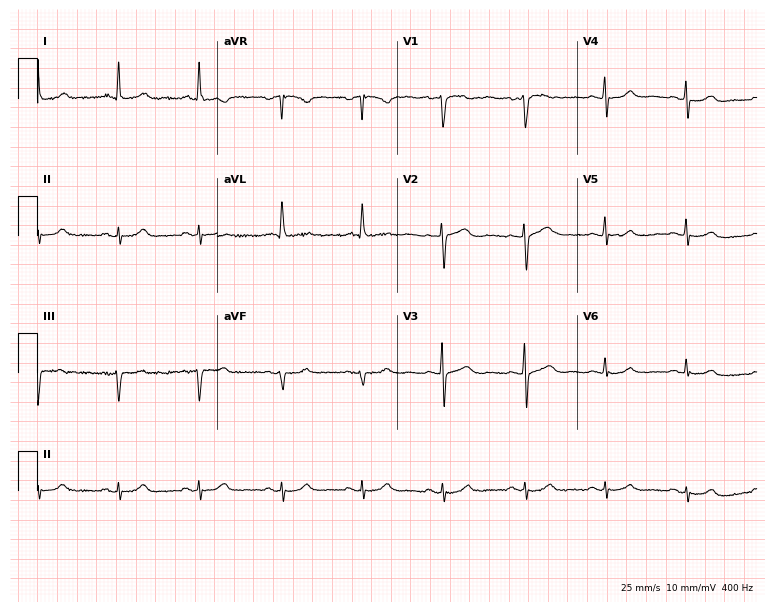
Resting 12-lead electrocardiogram. Patient: a 76-year-old woman. None of these six findings is recorded: first-degree AV block, right bundle branch block (RBBB), left bundle branch block (LBBB), sinus bradycardia, atrial fibrillation (AF), sinus tachycardia.